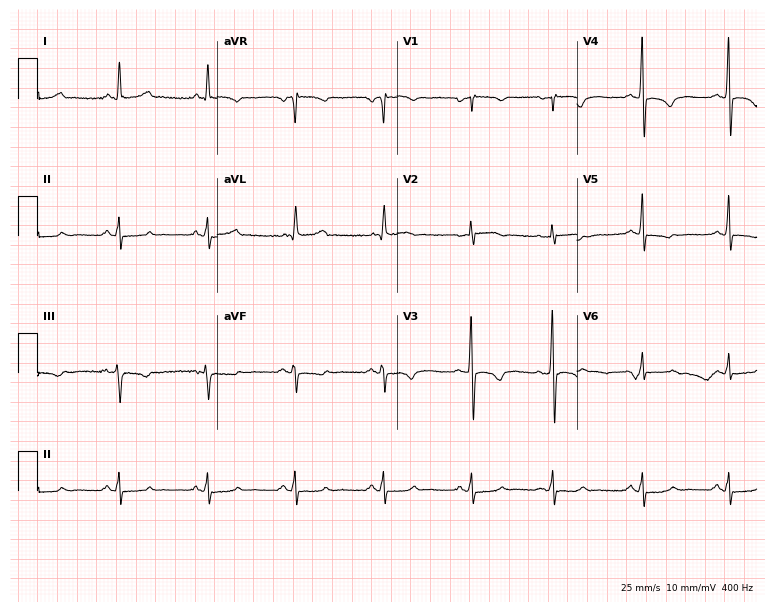
Standard 12-lead ECG recorded from a 49-year-old female. None of these six findings is recorded: first-degree AV block, right bundle branch block, left bundle branch block, sinus bradycardia, atrial fibrillation, sinus tachycardia. Findings outside these six are not listed.